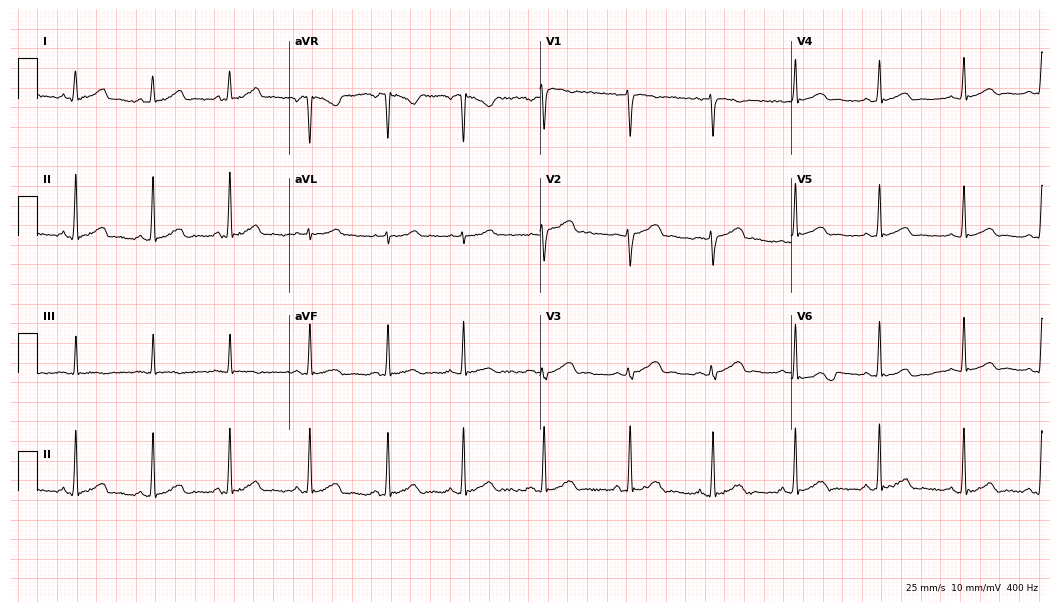
Standard 12-lead ECG recorded from a female, 18 years old. Read as a normal ECG.